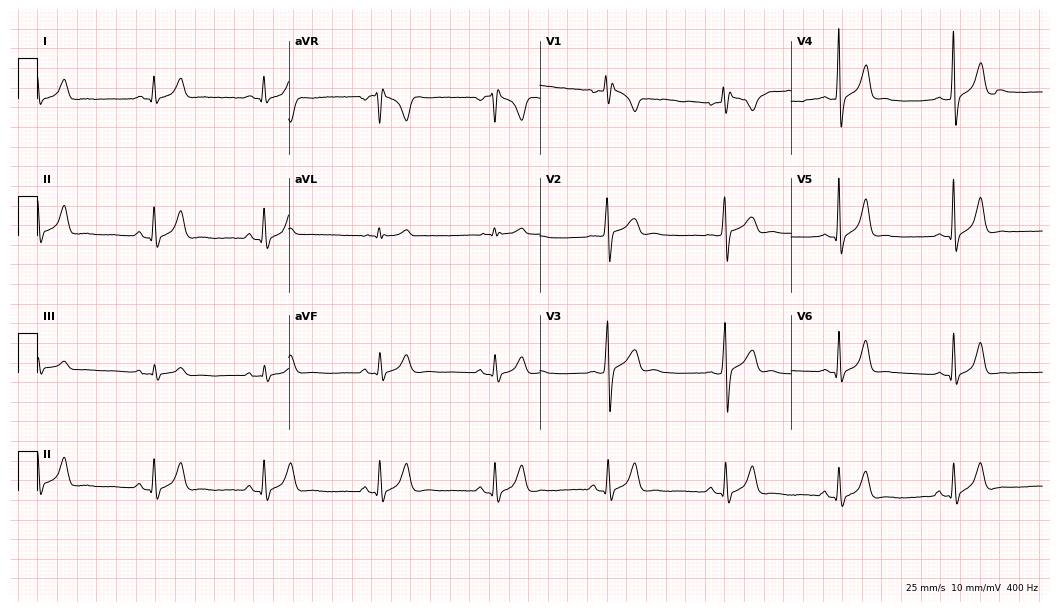
12-lead ECG from a 19-year-old male. Screened for six findings — first-degree AV block, right bundle branch block, left bundle branch block, sinus bradycardia, atrial fibrillation, sinus tachycardia — none is recorded. Only these six findings were labelled.